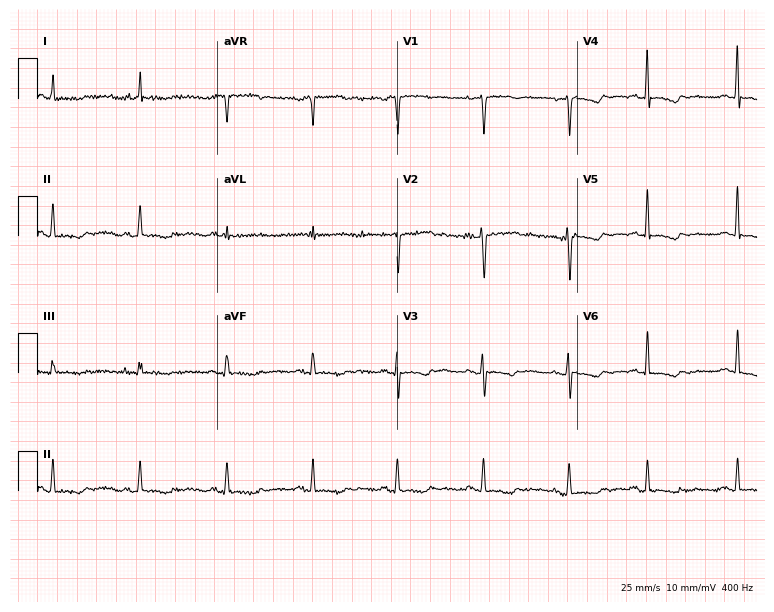
Standard 12-lead ECG recorded from a female patient, 52 years old (7.3-second recording at 400 Hz). None of these six findings is recorded: first-degree AV block, right bundle branch block (RBBB), left bundle branch block (LBBB), sinus bradycardia, atrial fibrillation (AF), sinus tachycardia. Findings outside these six are not listed.